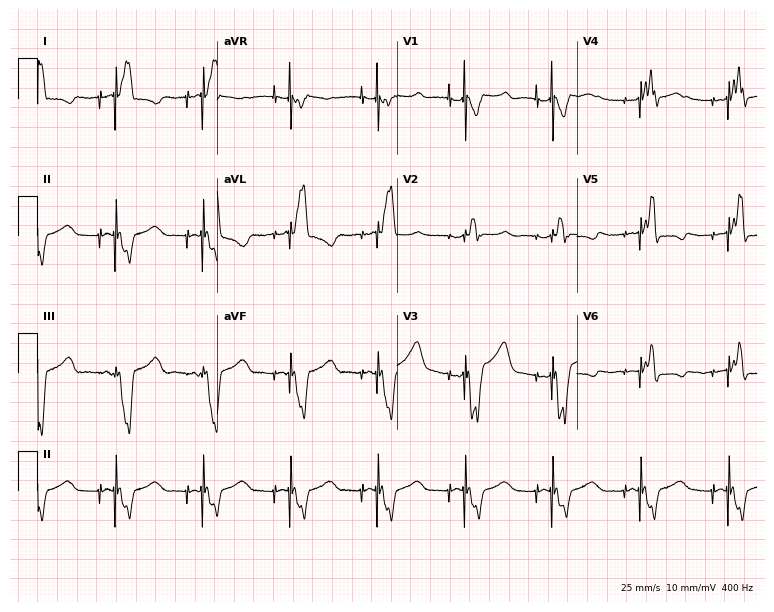
12-lead ECG (7.3-second recording at 400 Hz) from a female patient, 73 years old. Screened for six findings — first-degree AV block, right bundle branch block, left bundle branch block, sinus bradycardia, atrial fibrillation, sinus tachycardia — none is recorded. Findings outside these six are not listed.